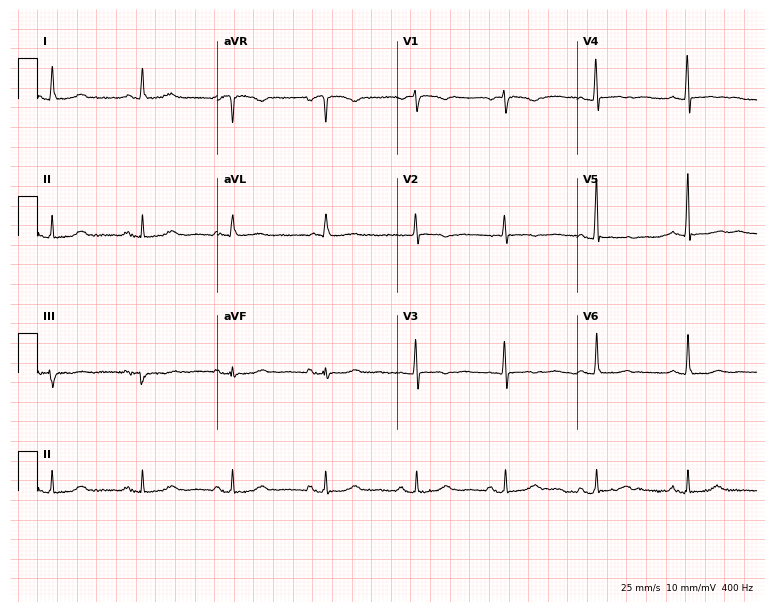
ECG (7.3-second recording at 400 Hz) — a woman, 84 years old. Screened for six findings — first-degree AV block, right bundle branch block, left bundle branch block, sinus bradycardia, atrial fibrillation, sinus tachycardia — none is recorded.